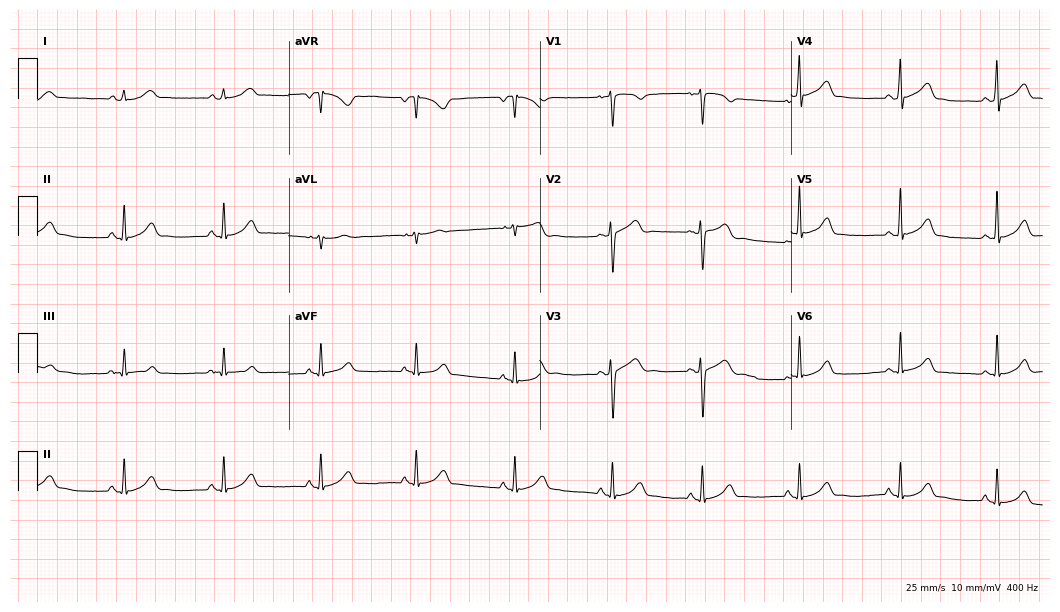
Electrocardiogram, a woman, 29 years old. Overall reading on record: normal ECG.